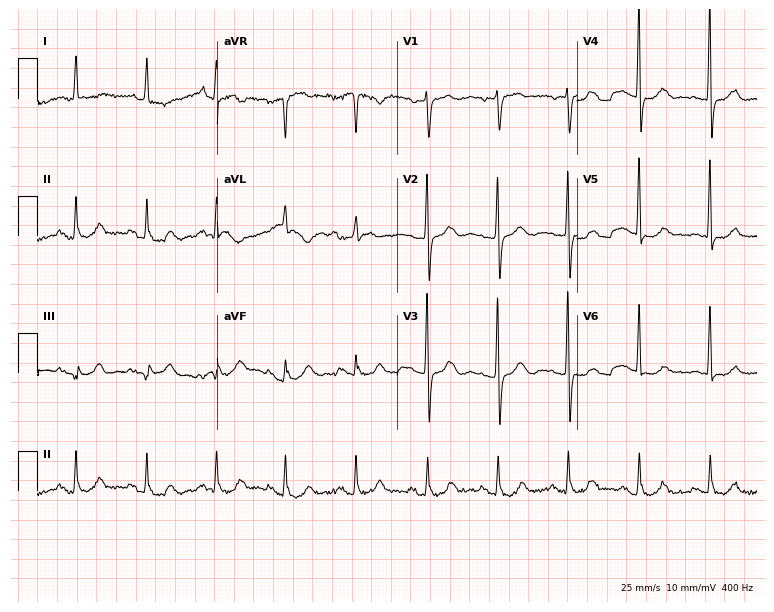
ECG — a 78-year-old female. Screened for six findings — first-degree AV block, right bundle branch block, left bundle branch block, sinus bradycardia, atrial fibrillation, sinus tachycardia — none is recorded.